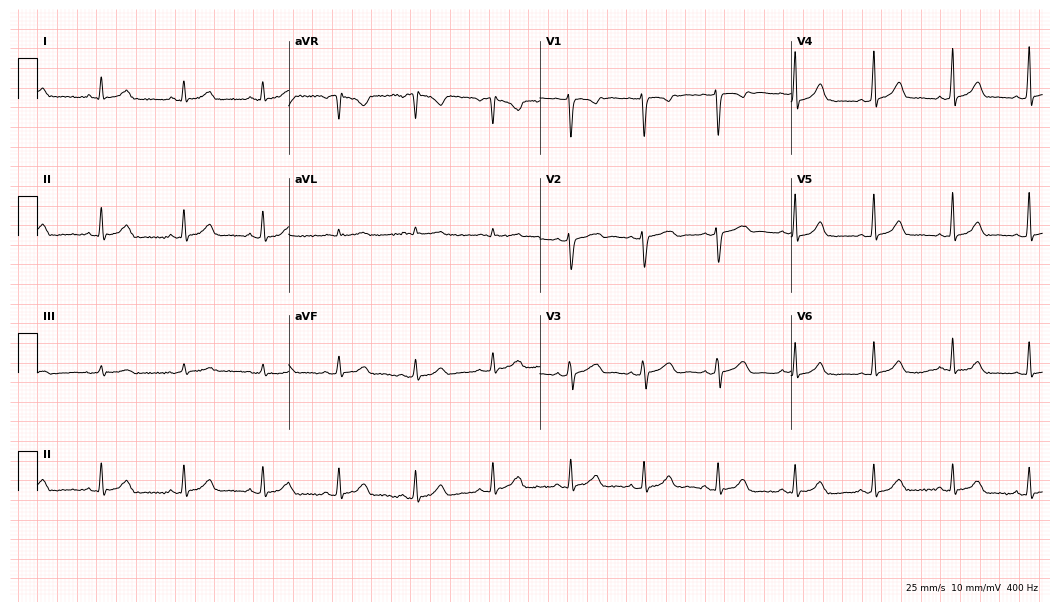
ECG (10.2-second recording at 400 Hz) — a female, 40 years old. Labelled as a normal ECG.